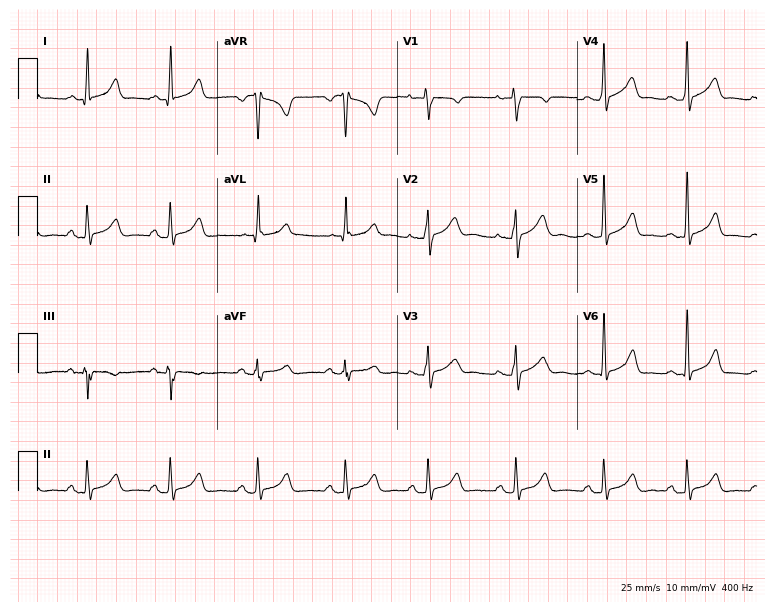
12-lead ECG (7.3-second recording at 400 Hz) from a female, 26 years old. Labelled as a normal ECG.